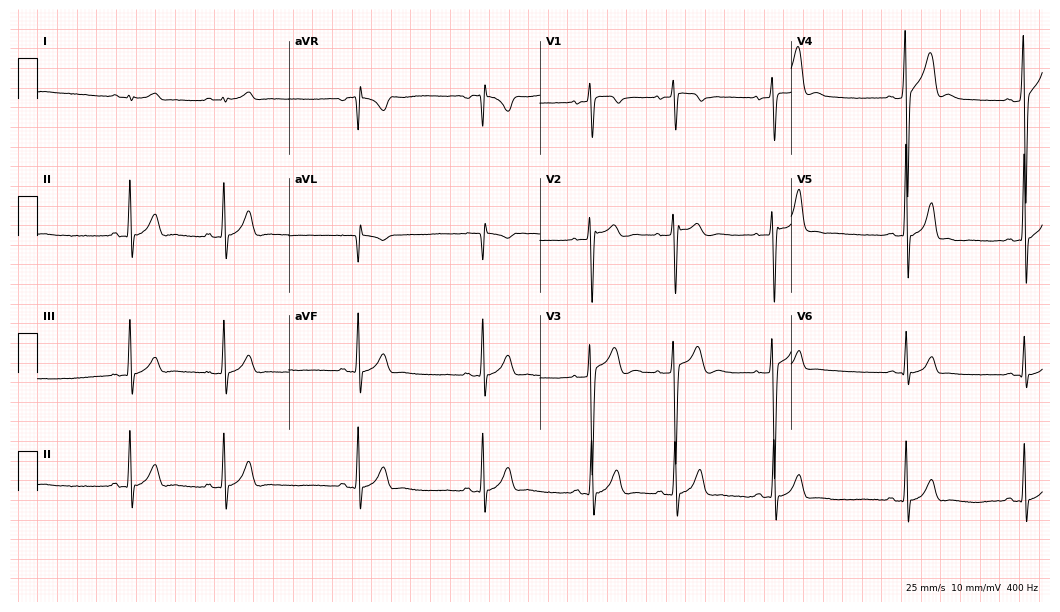
Resting 12-lead electrocardiogram. Patient: a man, 17 years old. Read as a normal ECG.